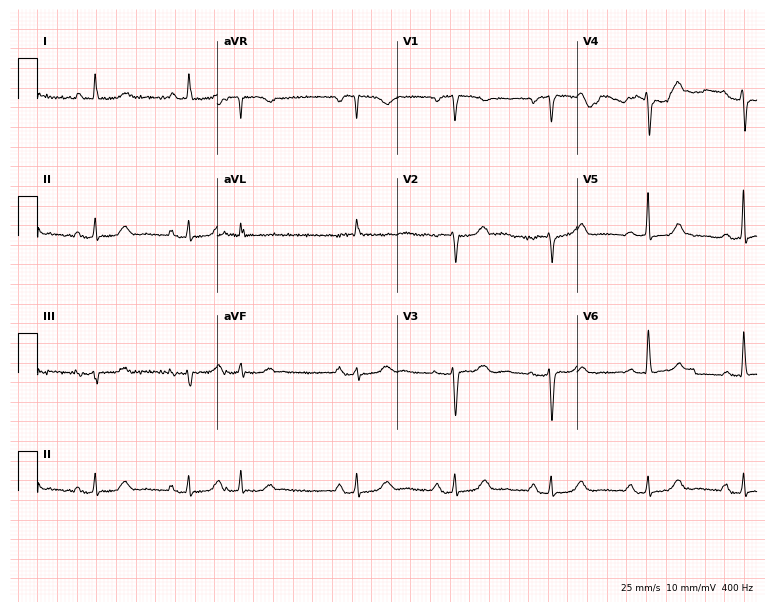
Standard 12-lead ECG recorded from a female patient, 85 years old (7.3-second recording at 400 Hz). None of these six findings is recorded: first-degree AV block, right bundle branch block (RBBB), left bundle branch block (LBBB), sinus bradycardia, atrial fibrillation (AF), sinus tachycardia. Findings outside these six are not listed.